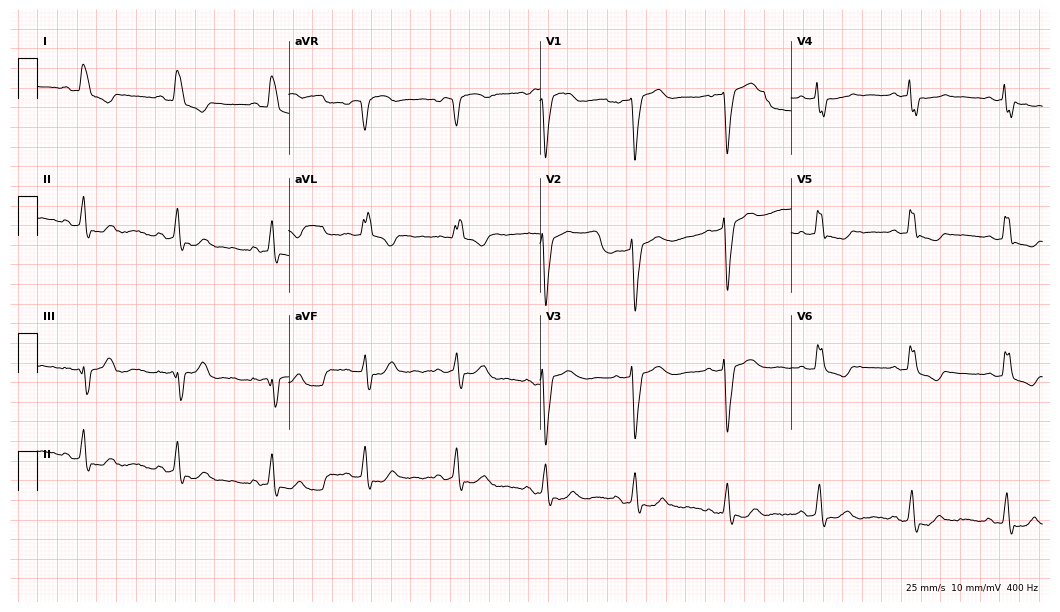
Electrocardiogram (10.2-second recording at 400 Hz), a 74-year-old woman. Interpretation includes left bundle branch block.